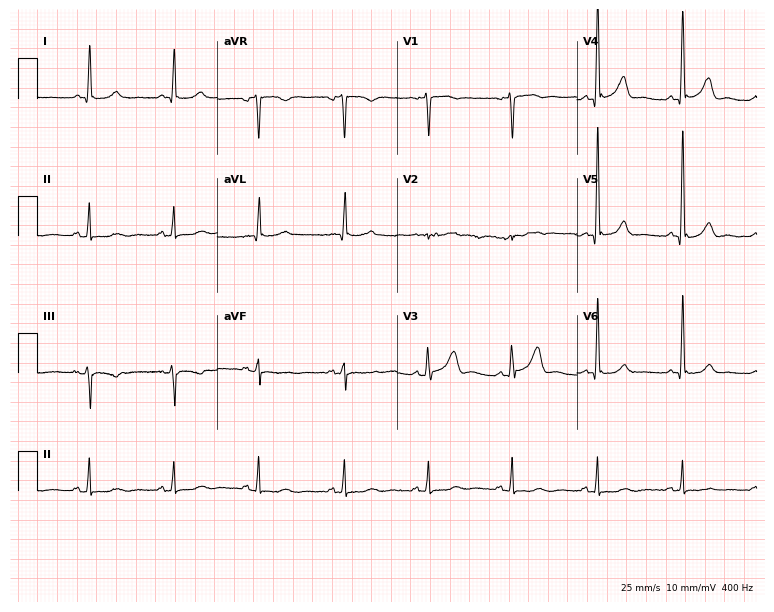
Resting 12-lead electrocardiogram. Patient: a male, 70 years old. None of these six findings is recorded: first-degree AV block, right bundle branch block, left bundle branch block, sinus bradycardia, atrial fibrillation, sinus tachycardia.